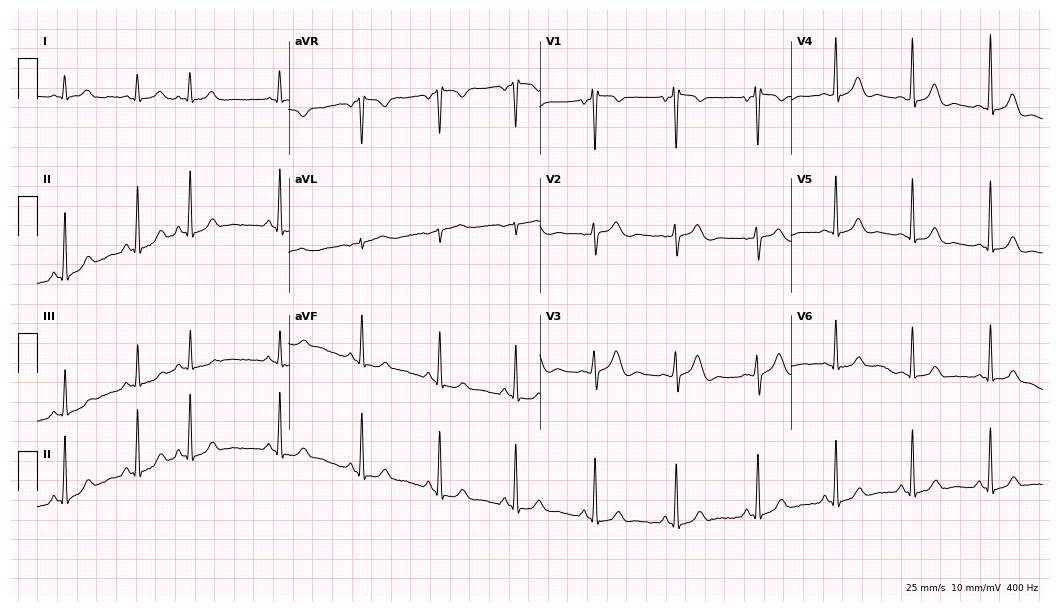
ECG — a 34-year-old female. Screened for six findings — first-degree AV block, right bundle branch block, left bundle branch block, sinus bradycardia, atrial fibrillation, sinus tachycardia — none is recorded. Other findings, if any, are not listed.